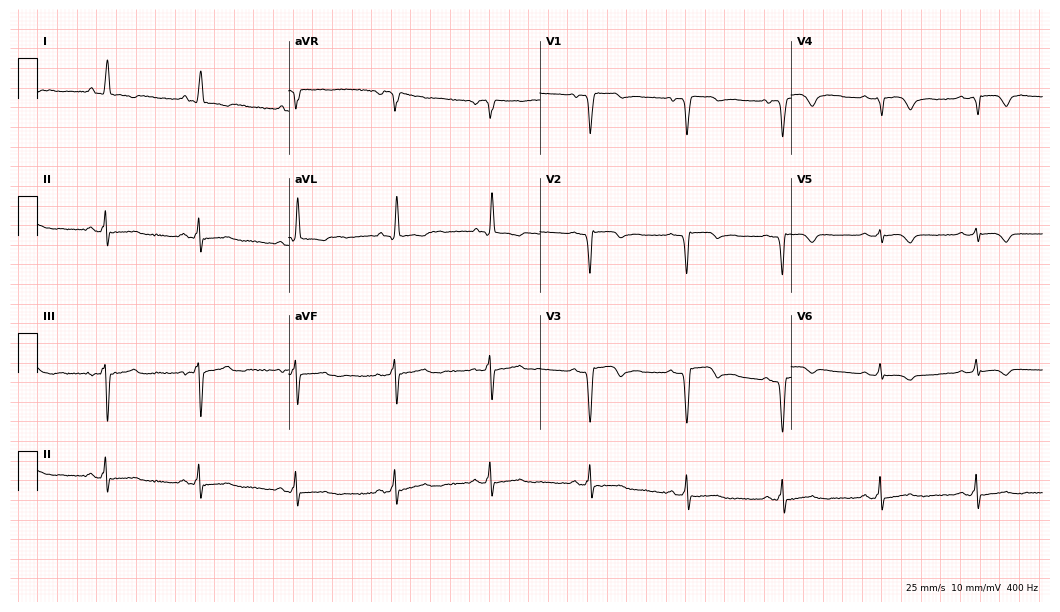
ECG (10.2-second recording at 400 Hz) — a woman, 56 years old. Screened for six findings — first-degree AV block, right bundle branch block (RBBB), left bundle branch block (LBBB), sinus bradycardia, atrial fibrillation (AF), sinus tachycardia — none is recorded. Other findings, if any, are not listed.